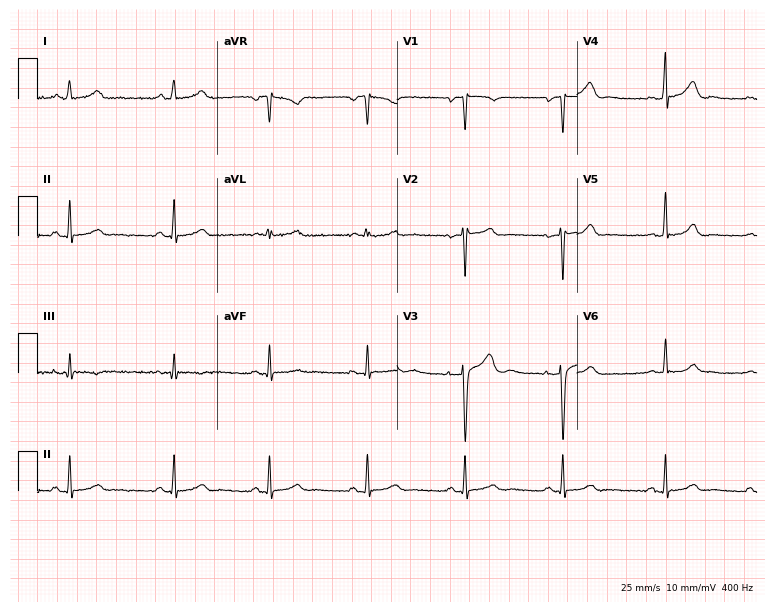
Resting 12-lead electrocardiogram. Patient: a 26-year-old female. None of these six findings is recorded: first-degree AV block, right bundle branch block, left bundle branch block, sinus bradycardia, atrial fibrillation, sinus tachycardia. Findings outside these six are not listed.